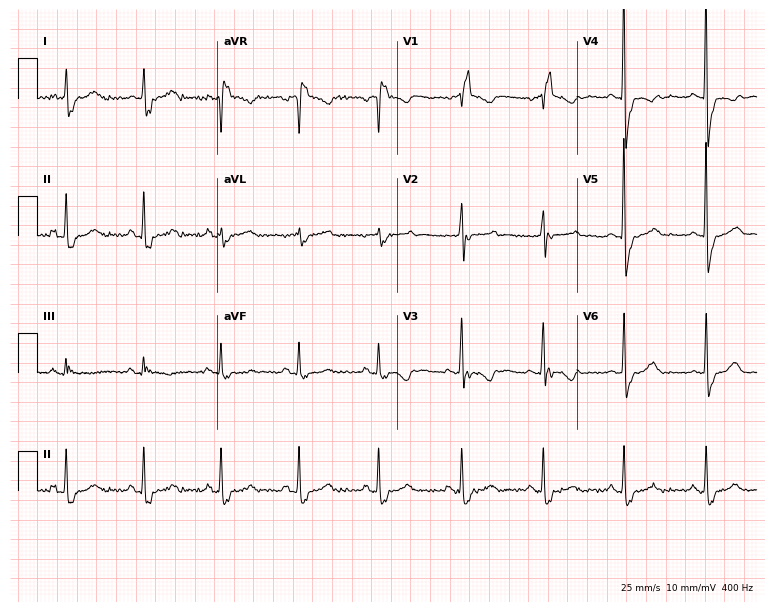
Resting 12-lead electrocardiogram. Patient: a female, 64 years old. The tracing shows right bundle branch block (RBBB).